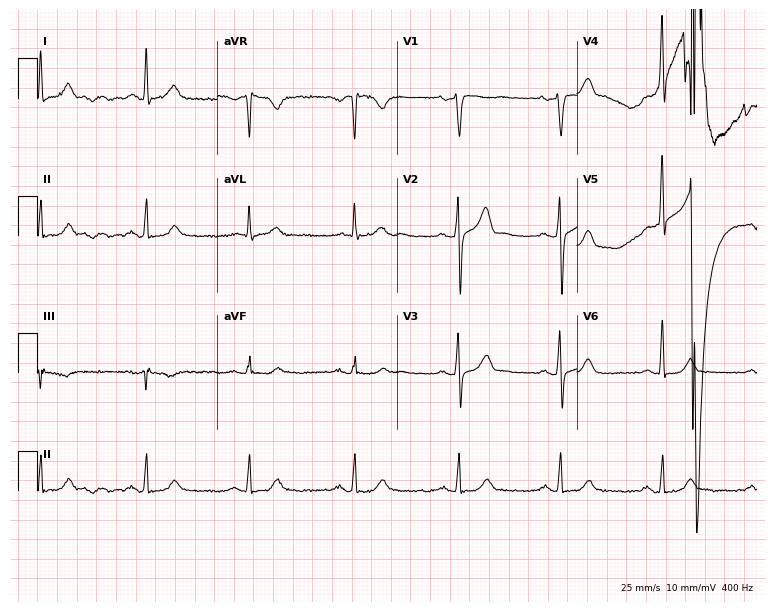
12-lead ECG from a 60-year-old male patient. No first-degree AV block, right bundle branch block, left bundle branch block, sinus bradycardia, atrial fibrillation or sinus tachycardia recorded for this tracing.